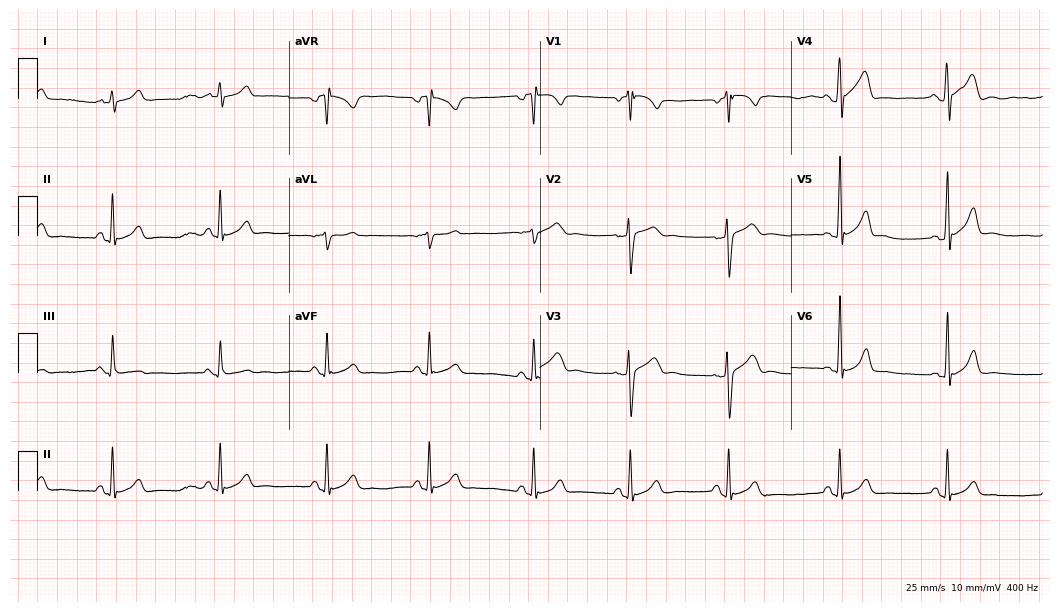
Standard 12-lead ECG recorded from a male, 36 years old (10.2-second recording at 400 Hz). Read as a normal ECG.